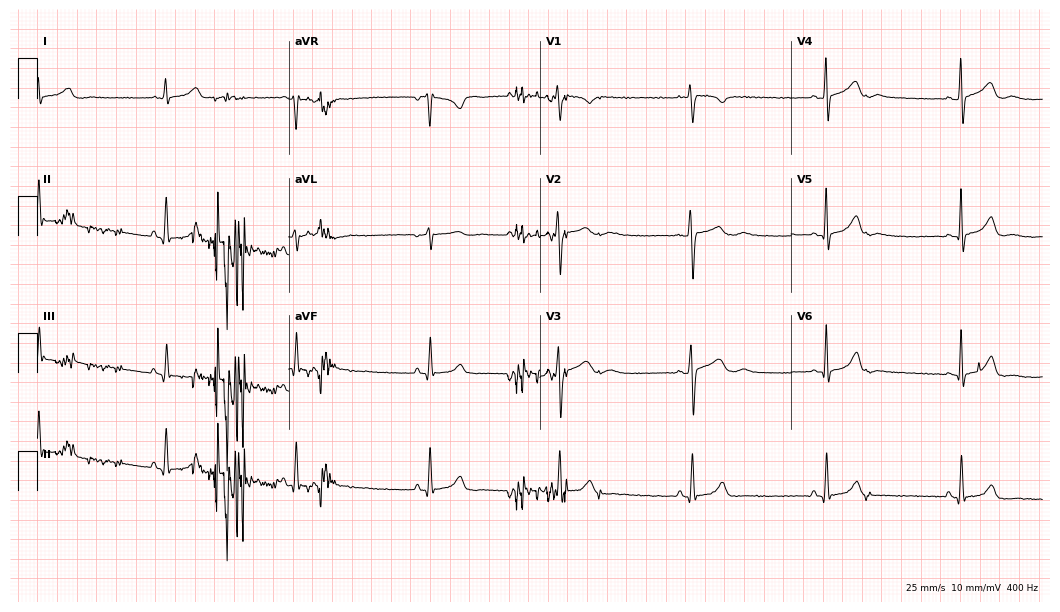
ECG — a female patient, 22 years old. Screened for six findings — first-degree AV block, right bundle branch block (RBBB), left bundle branch block (LBBB), sinus bradycardia, atrial fibrillation (AF), sinus tachycardia — none is recorded. Other findings, if any, are not listed.